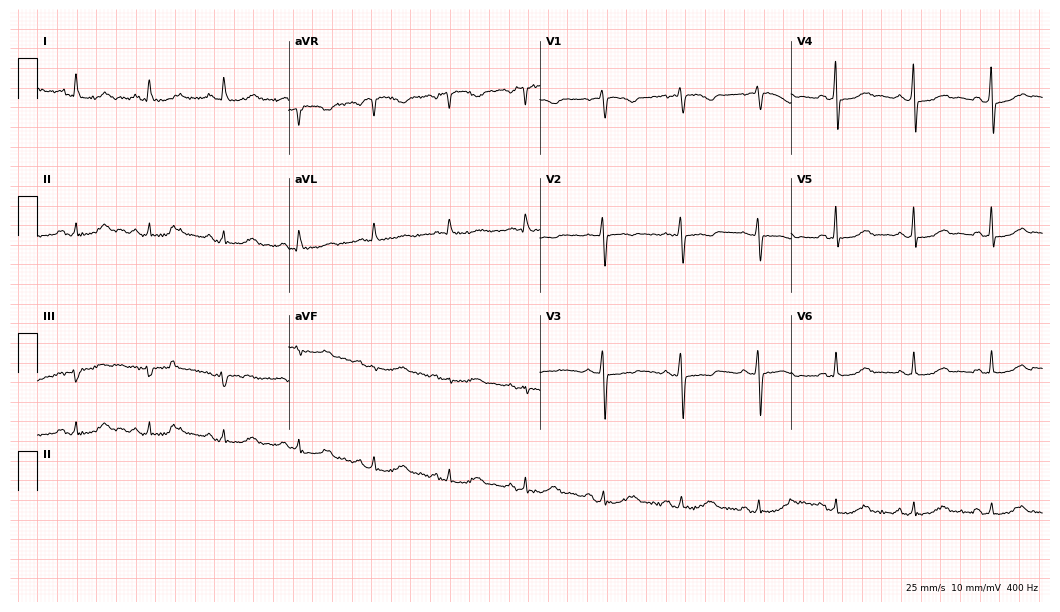
Electrocardiogram, a woman, 65 years old. Of the six screened findings (first-degree AV block, right bundle branch block (RBBB), left bundle branch block (LBBB), sinus bradycardia, atrial fibrillation (AF), sinus tachycardia), none is recorded.